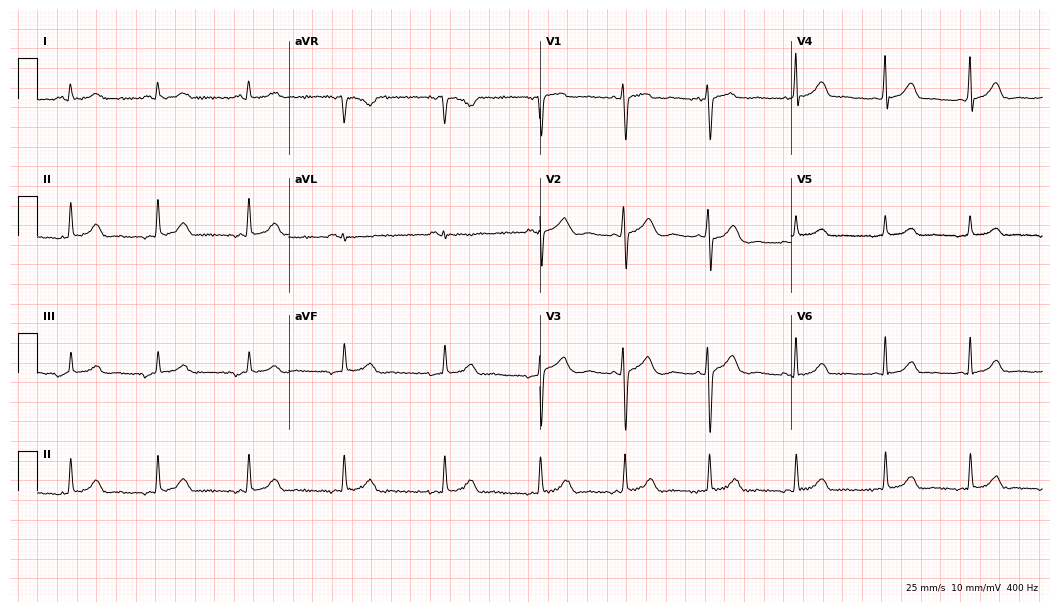
Standard 12-lead ECG recorded from a female patient, 31 years old. Read as a normal ECG.